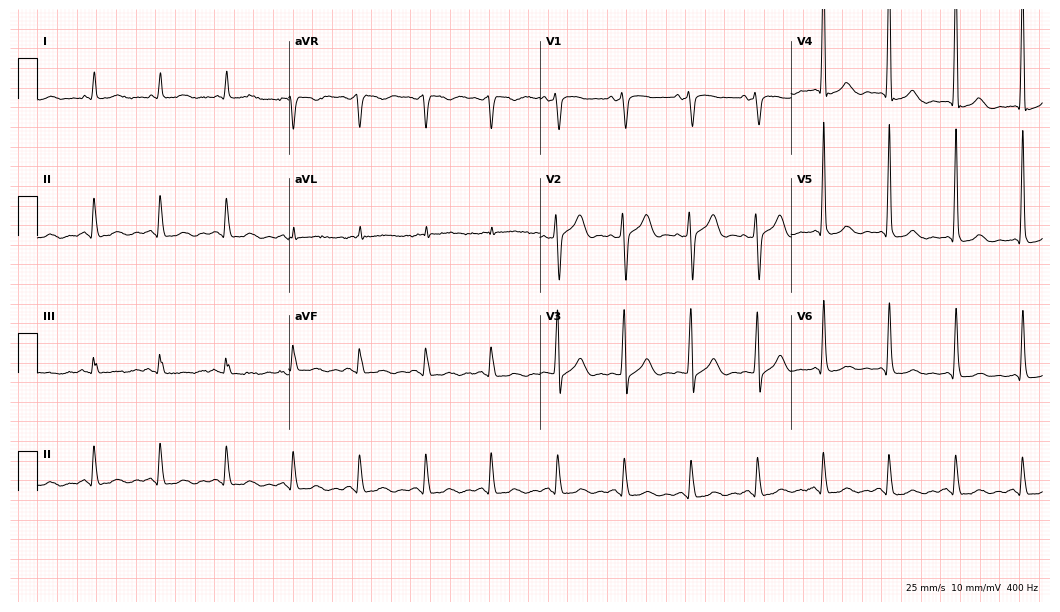
Resting 12-lead electrocardiogram. Patient: a 77-year-old female. None of these six findings is recorded: first-degree AV block, right bundle branch block, left bundle branch block, sinus bradycardia, atrial fibrillation, sinus tachycardia. Only these six findings were labelled.